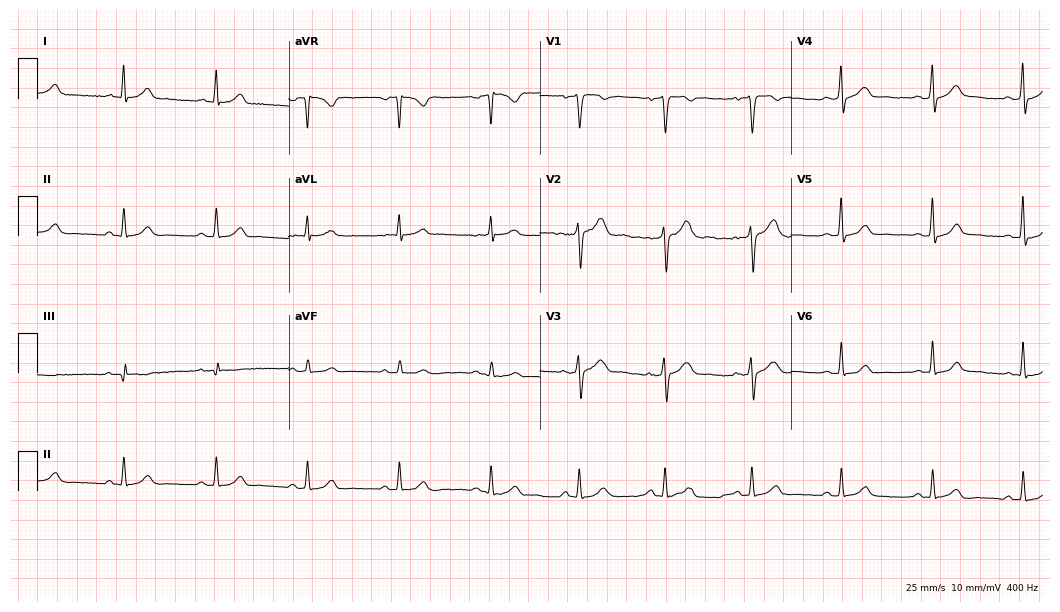
12-lead ECG (10.2-second recording at 400 Hz) from a 43-year-old male patient. Labelled as a normal ECG.